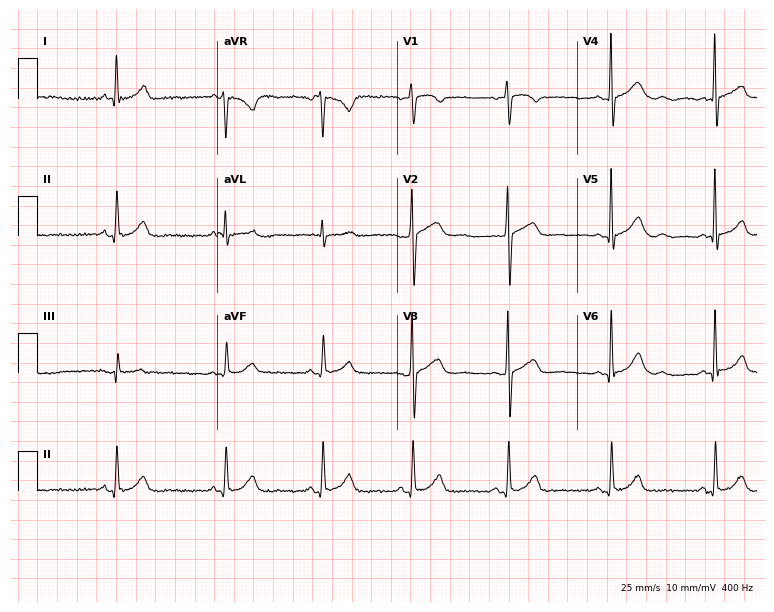
12-lead ECG from a 55-year-old female patient. Labelled as a normal ECG.